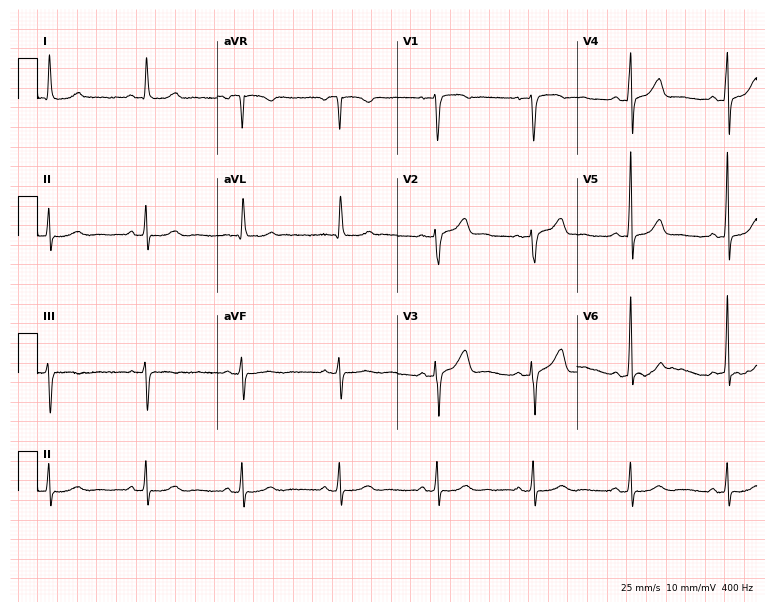
Resting 12-lead electrocardiogram (7.3-second recording at 400 Hz). Patient: a female, 69 years old. Read as a normal ECG.